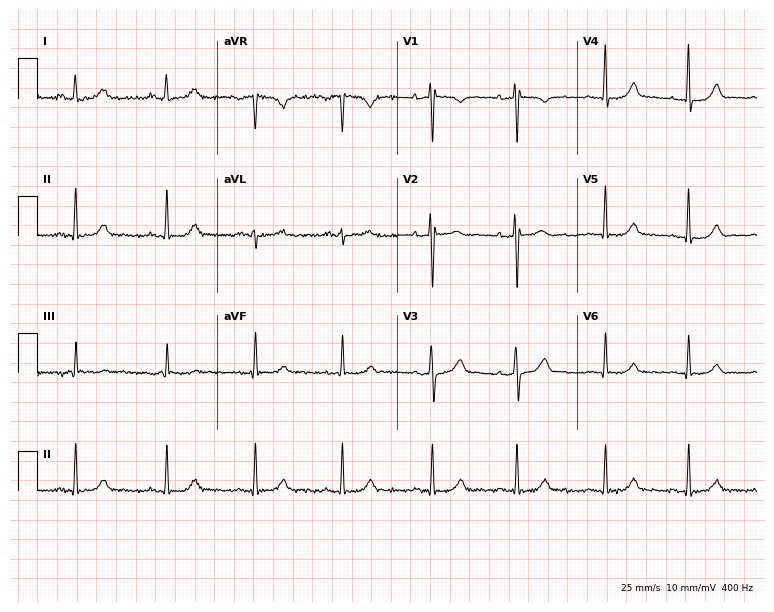
12-lead ECG from a 40-year-old female patient. Recorded interpretation: within normal limits.